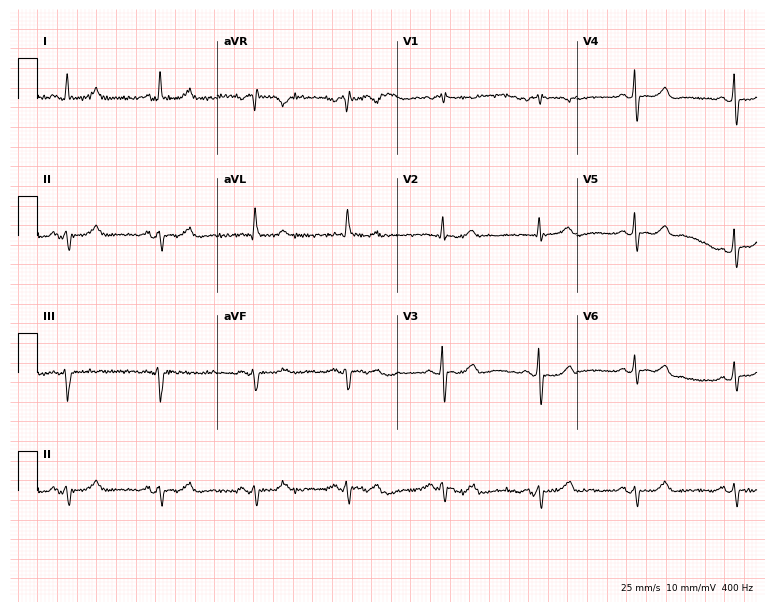
Resting 12-lead electrocardiogram (7.3-second recording at 400 Hz). Patient: a 72-year-old female. None of these six findings is recorded: first-degree AV block, right bundle branch block (RBBB), left bundle branch block (LBBB), sinus bradycardia, atrial fibrillation (AF), sinus tachycardia.